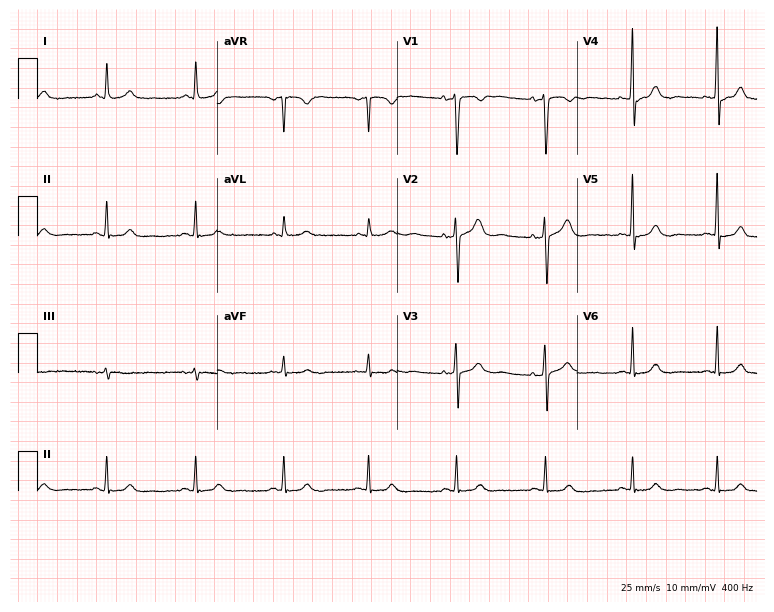
Standard 12-lead ECG recorded from a 41-year-old woman. Read as a normal ECG.